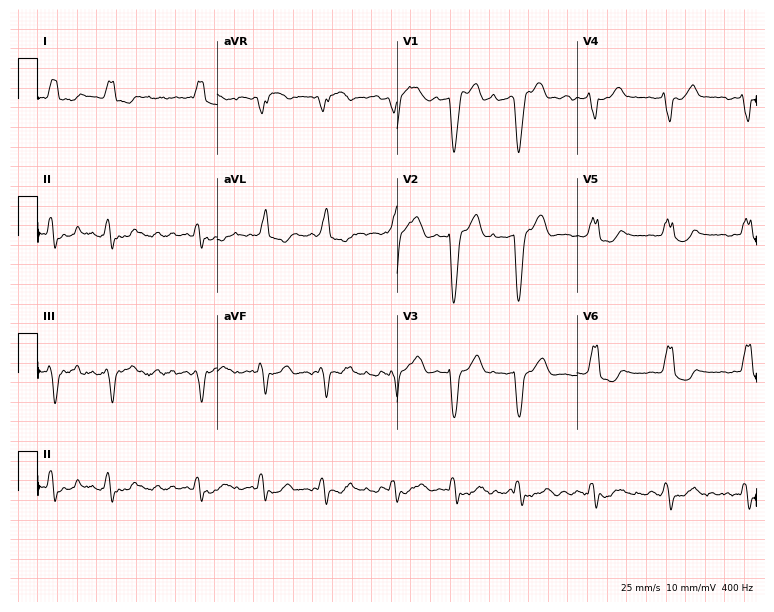
ECG — a 72-year-old female patient. Findings include left bundle branch block (LBBB).